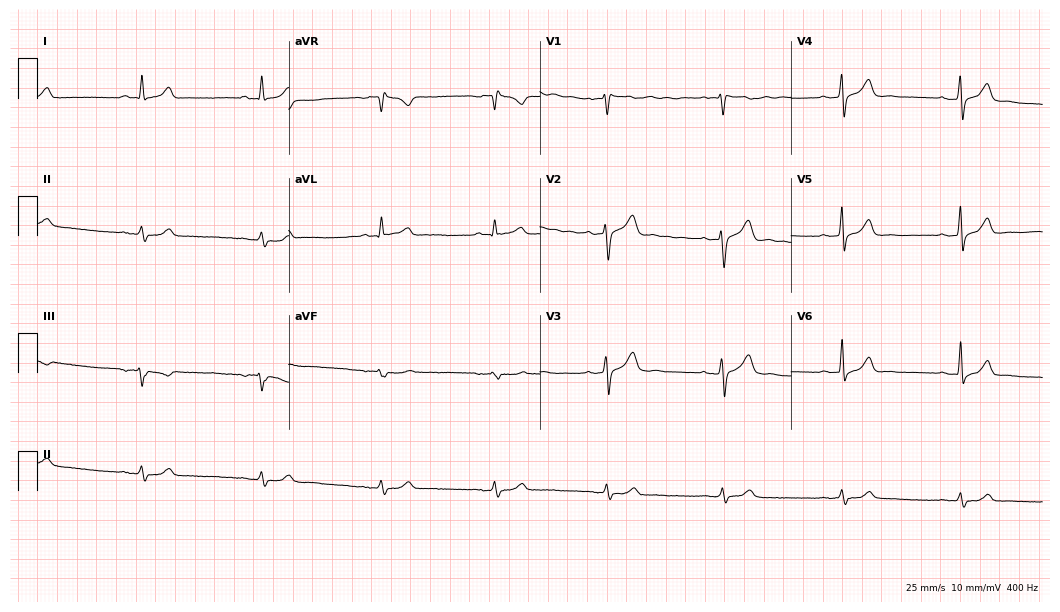
Resting 12-lead electrocardiogram. Patient: a male, 46 years old. Read as a normal ECG.